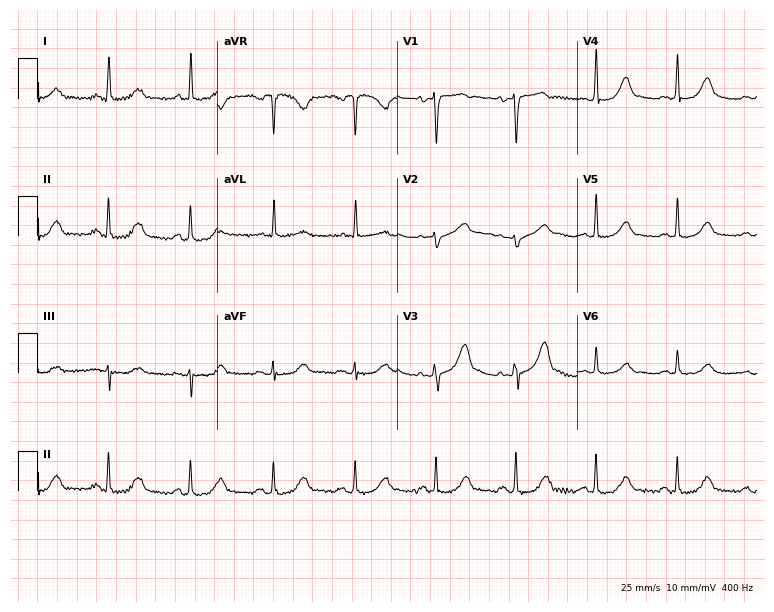
Electrocardiogram, a 49-year-old female. Of the six screened findings (first-degree AV block, right bundle branch block, left bundle branch block, sinus bradycardia, atrial fibrillation, sinus tachycardia), none is recorded.